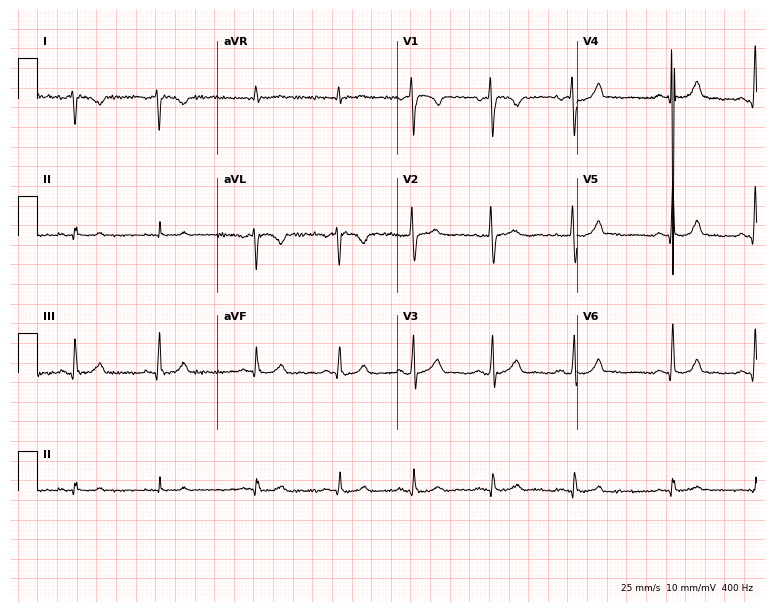
Resting 12-lead electrocardiogram. Patient: a female, 23 years old. Read as a normal ECG.